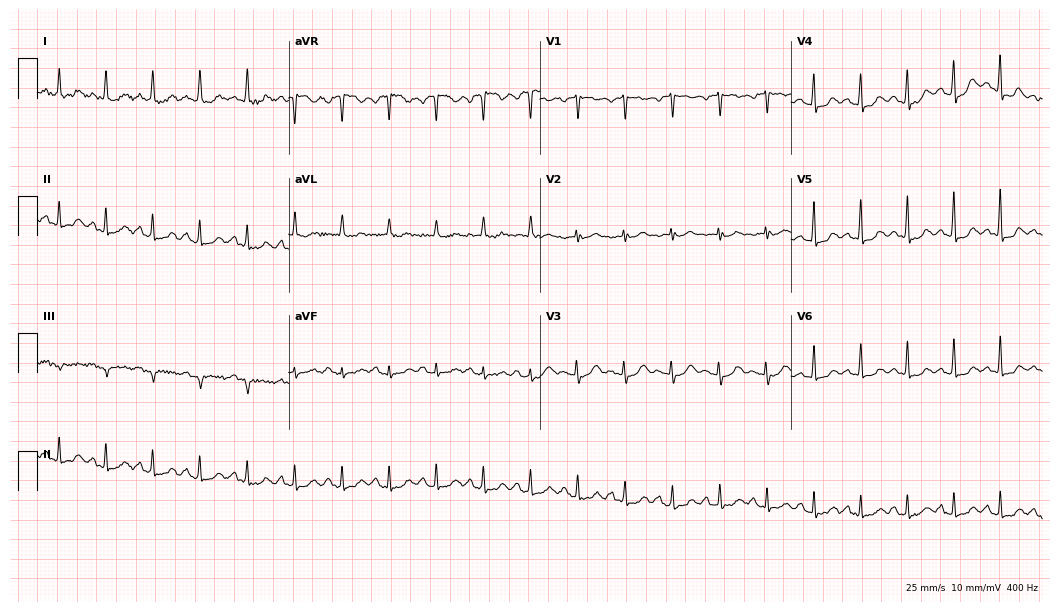
Resting 12-lead electrocardiogram. Patient: a 65-year-old female. The tracing shows sinus tachycardia (a sinus rate of 100 beats per minute or more).